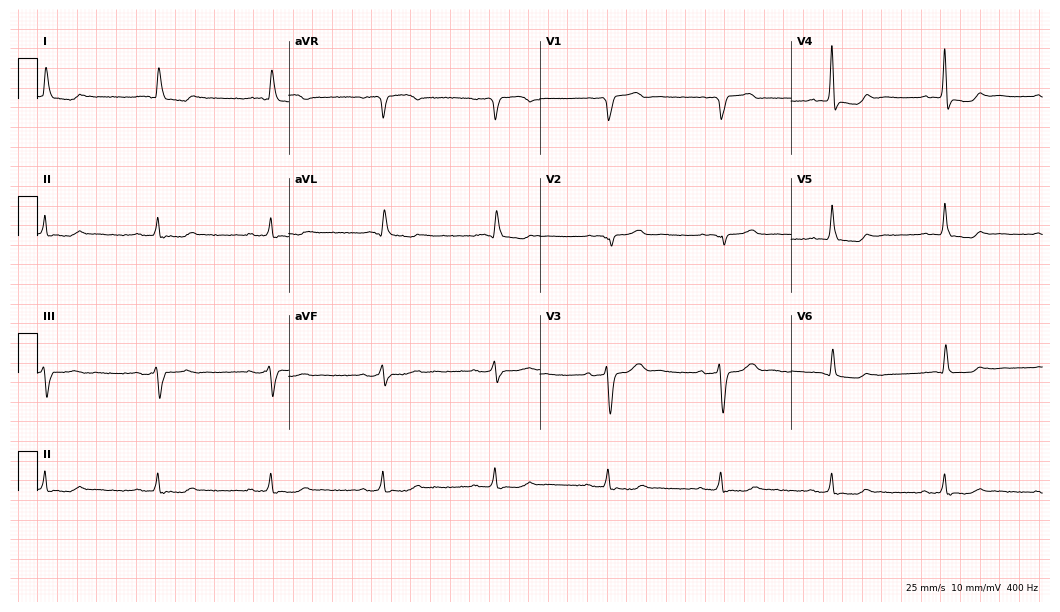
ECG (10.2-second recording at 400 Hz) — an 82-year-old male. Findings include left bundle branch block.